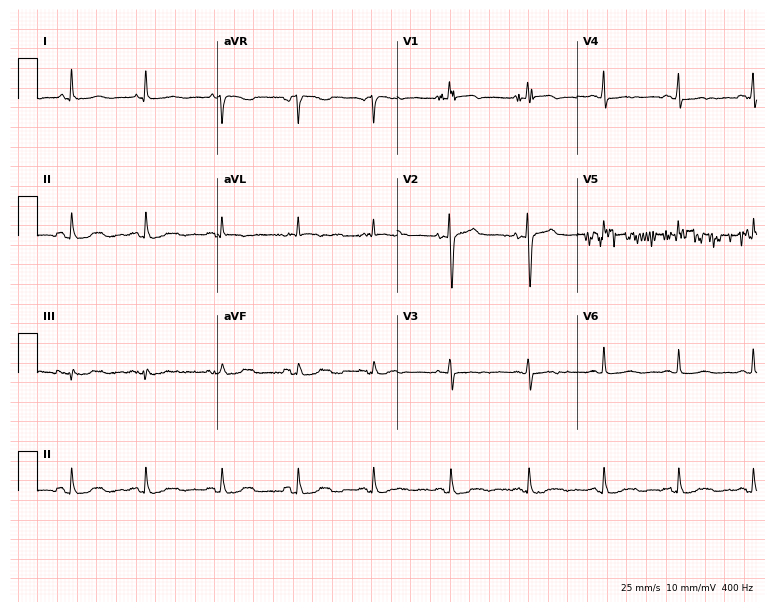
12-lead ECG from a woman, 49 years old (7.3-second recording at 400 Hz). No first-degree AV block, right bundle branch block, left bundle branch block, sinus bradycardia, atrial fibrillation or sinus tachycardia recorded for this tracing.